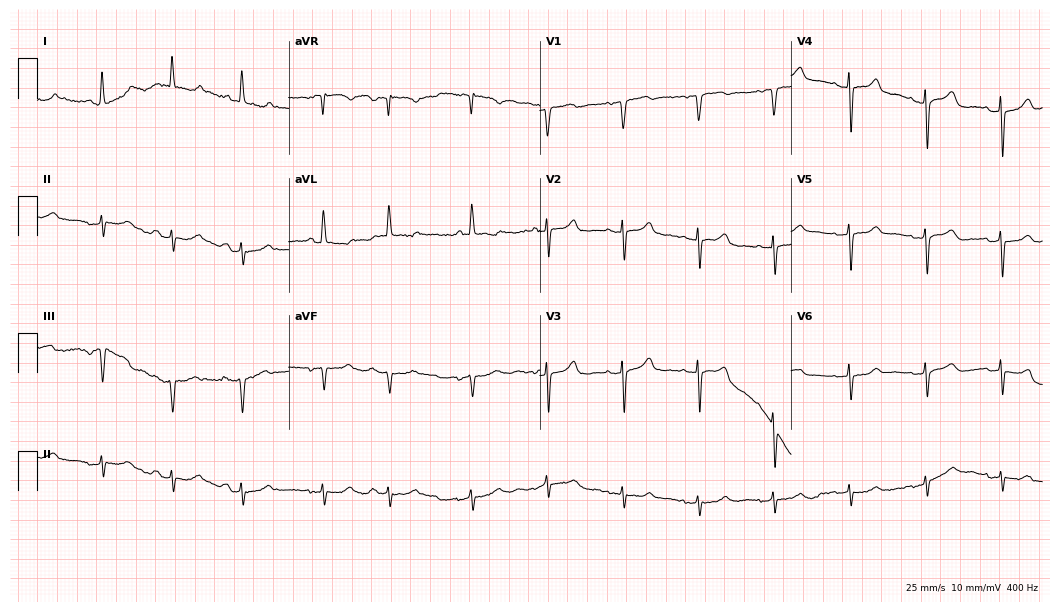
Standard 12-lead ECG recorded from a female, 76 years old (10.2-second recording at 400 Hz). None of these six findings is recorded: first-degree AV block, right bundle branch block (RBBB), left bundle branch block (LBBB), sinus bradycardia, atrial fibrillation (AF), sinus tachycardia. Other findings, if any, are not listed.